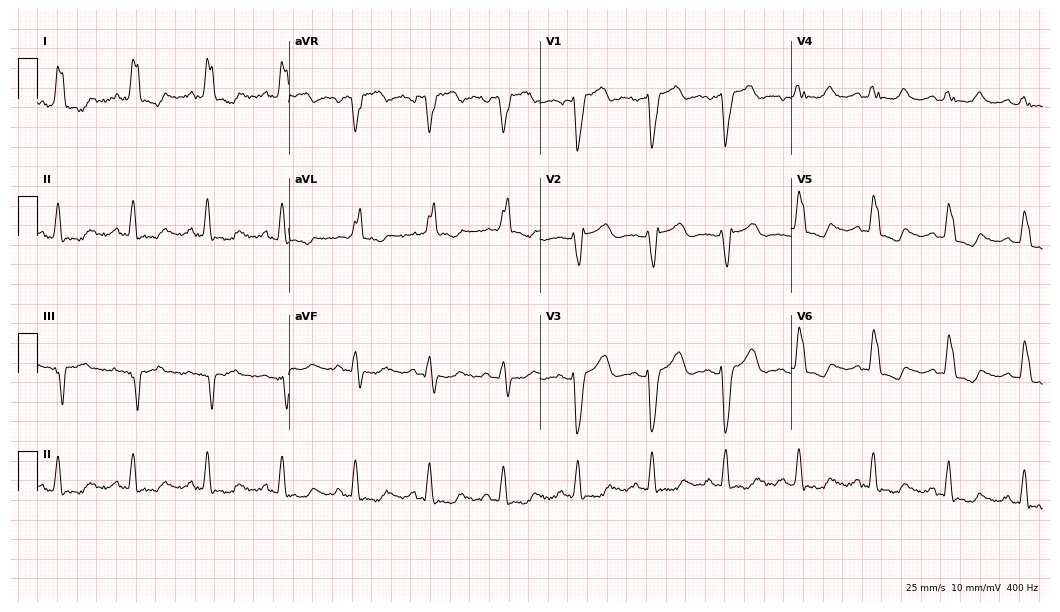
Standard 12-lead ECG recorded from a 72-year-old female (10.2-second recording at 400 Hz). The tracing shows left bundle branch block.